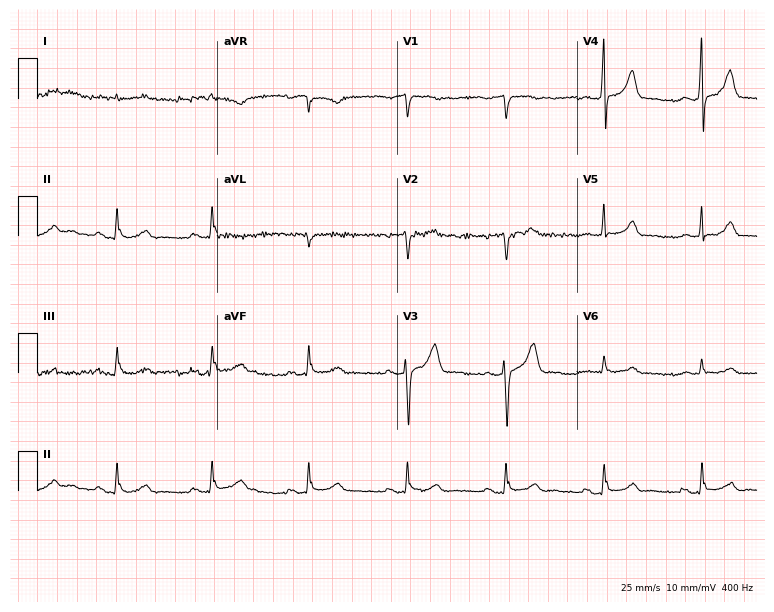
ECG — a 72-year-old male. Screened for six findings — first-degree AV block, right bundle branch block (RBBB), left bundle branch block (LBBB), sinus bradycardia, atrial fibrillation (AF), sinus tachycardia — none is recorded.